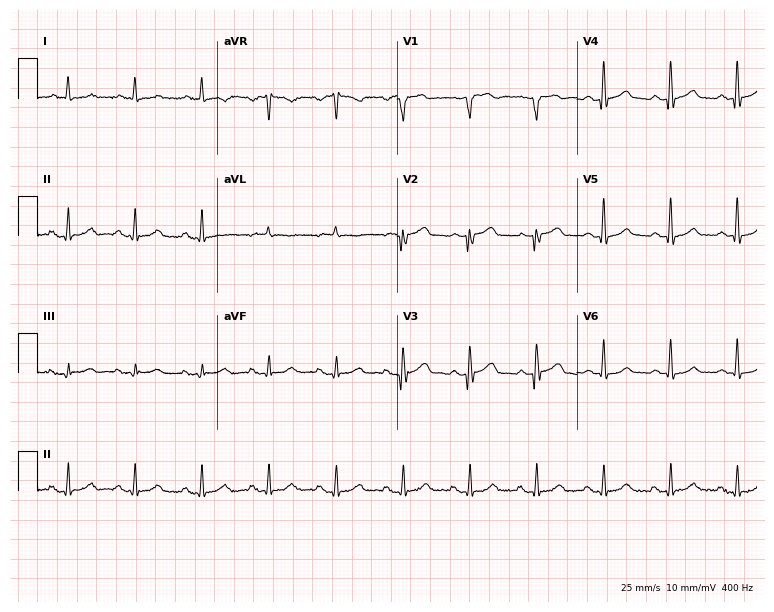
12-lead ECG from a 69-year-old male patient (7.3-second recording at 400 Hz). Recorded interpretation: within normal limits.